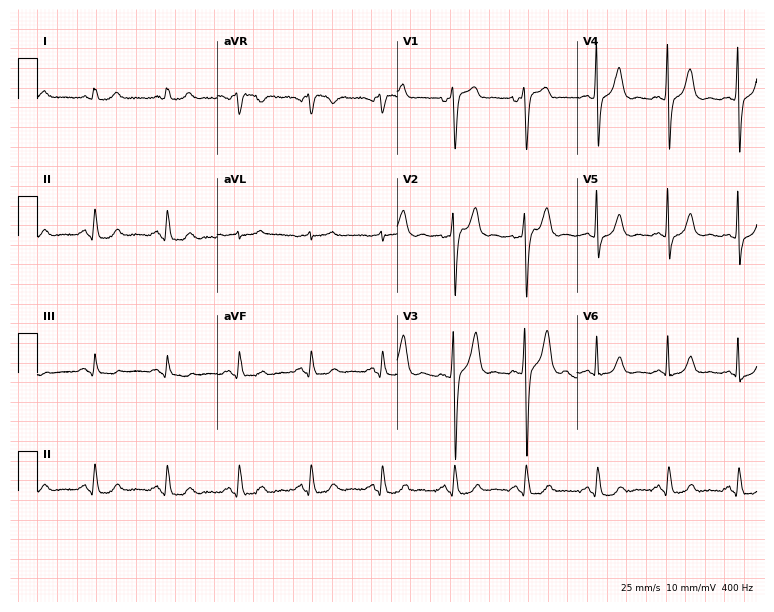
12-lead ECG from an 81-year-old male. No first-degree AV block, right bundle branch block, left bundle branch block, sinus bradycardia, atrial fibrillation or sinus tachycardia recorded for this tracing. Other findings, if any, are not listed.